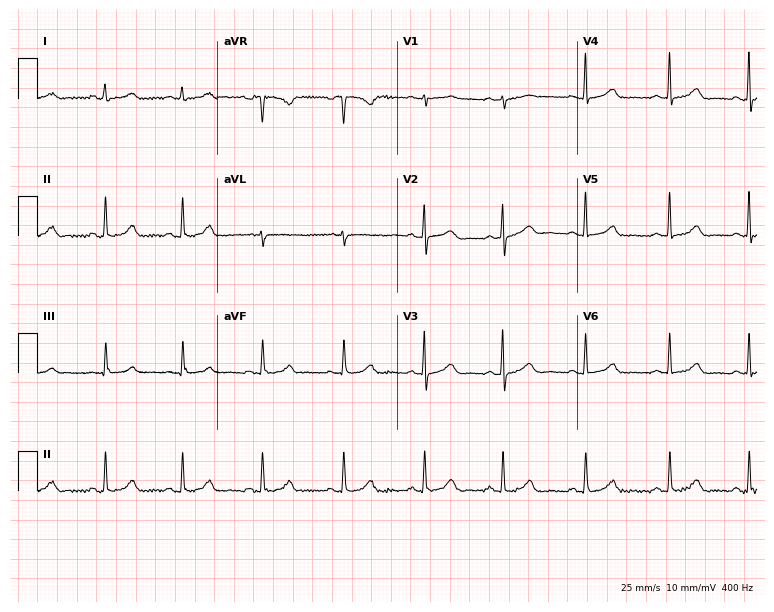
Resting 12-lead electrocardiogram (7.3-second recording at 400 Hz). Patient: a female, 29 years old. Read as a normal ECG.